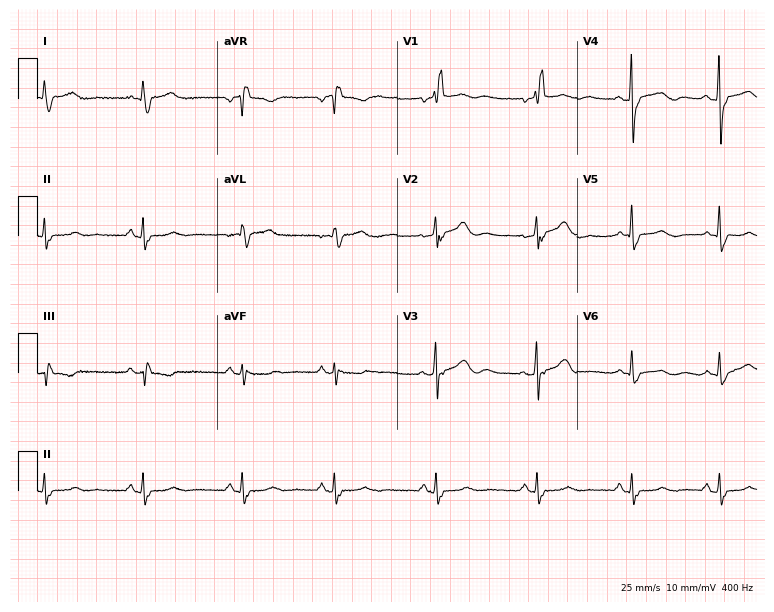
Resting 12-lead electrocardiogram (7.3-second recording at 400 Hz). Patient: a 61-year-old female. The tracing shows right bundle branch block.